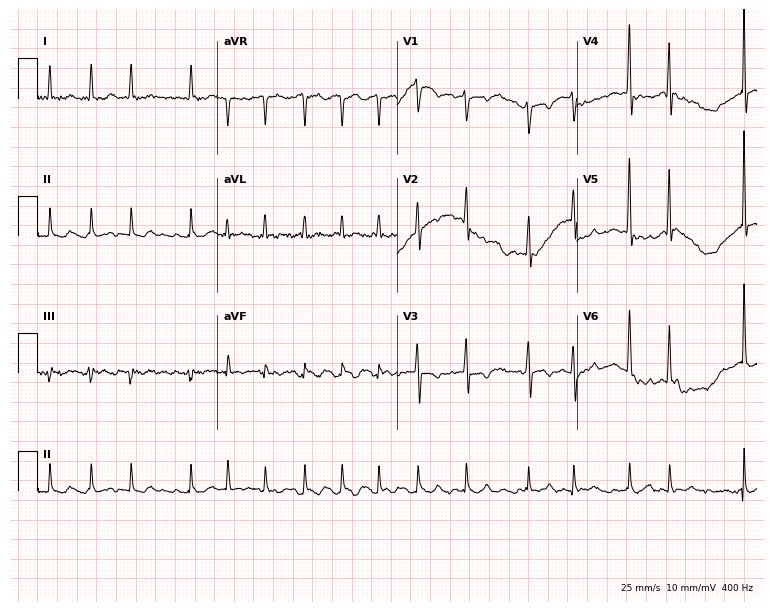
12-lead ECG from a male patient, 71 years old (7.3-second recording at 400 Hz). Shows atrial fibrillation (AF).